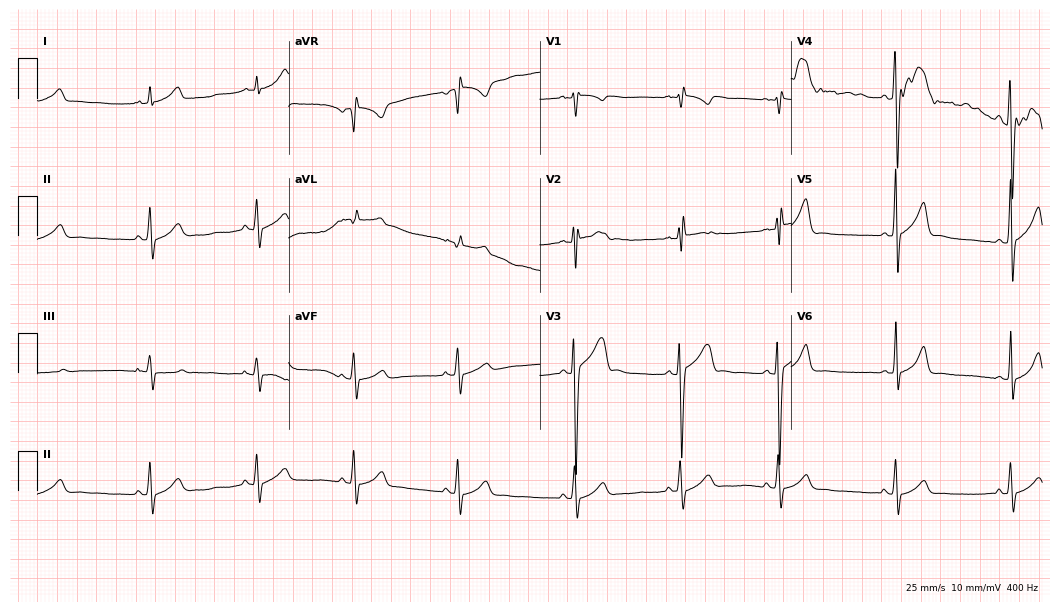
Standard 12-lead ECG recorded from a male, 17 years old. None of these six findings is recorded: first-degree AV block, right bundle branch block, left bundle branch block, sinus bradycardia, atrial fibrillation, sinus tachycardia.